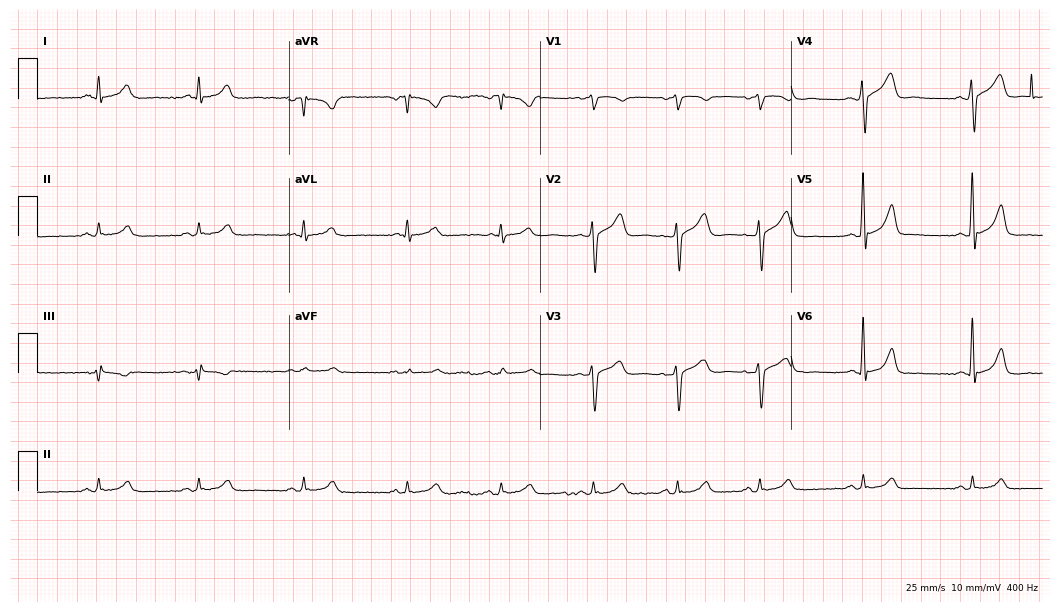
12-lead ECG from a 49-year-old male patient. Labelled as a normal ECG.